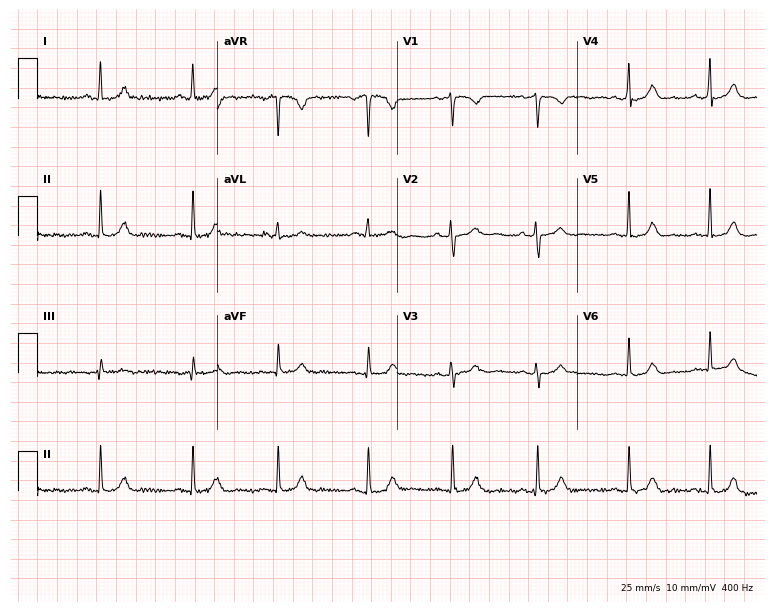
Electrocardiogram, a 25-year-old female patient. Overall reading on record: normal ECG.